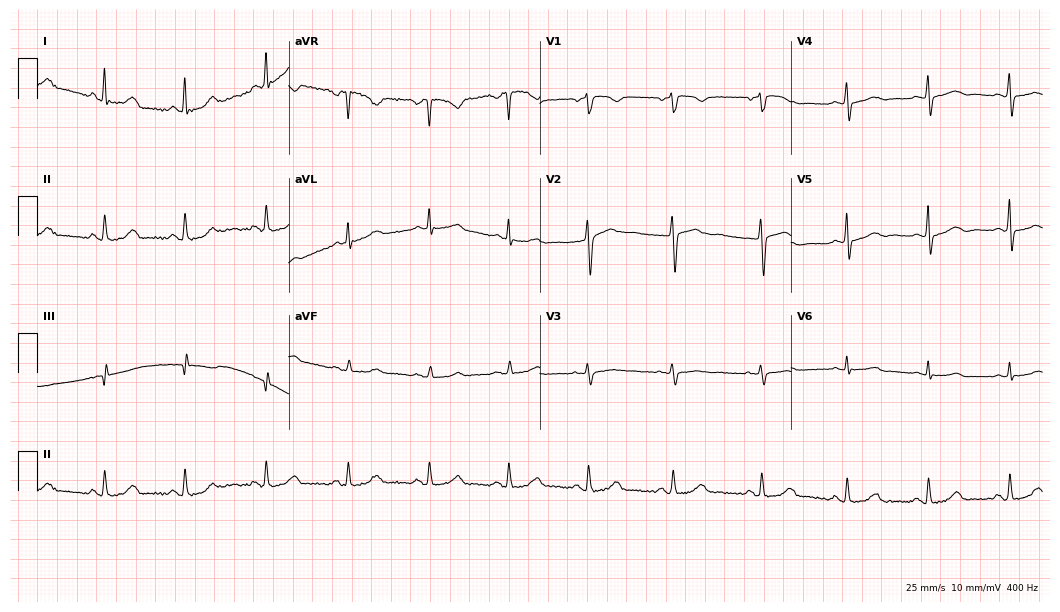
Resting 12-lead electrocardiogram. Patient: a 63-year-old female. Read as a normal ECG.